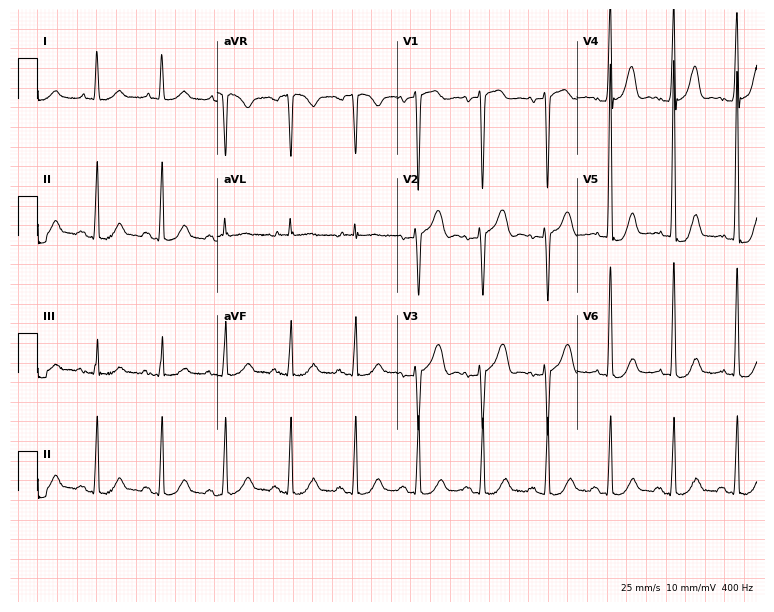
Resting 12-lead electrocardiogram (7.3-second recording at 400 Hz). Patient: a woman, 75 years old. None of these six findings is recorded: first-degree AV block, right bundle branch block, left bundle branch block, sinus bradycardia, atrial fibrillation, sinus tachycardia.